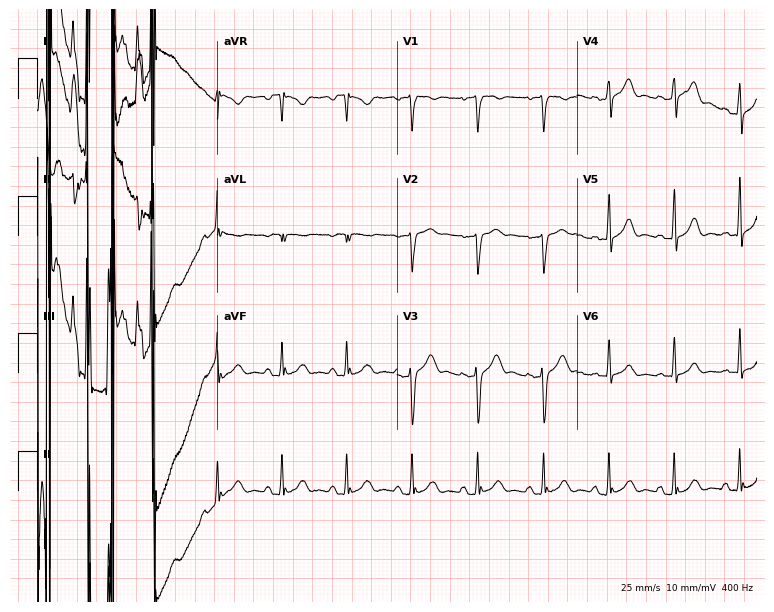
Standard 12-lead ECG recorded from a male patient, 53 years old (7.3-second recording at 400 Hz). None of these six findings is recorded: first-degree AV block, right bundle branch block, left bundle branch block, sinus bradycardia, atrial fibrillation, sinus tachycardia. Only these six findings were labelled.